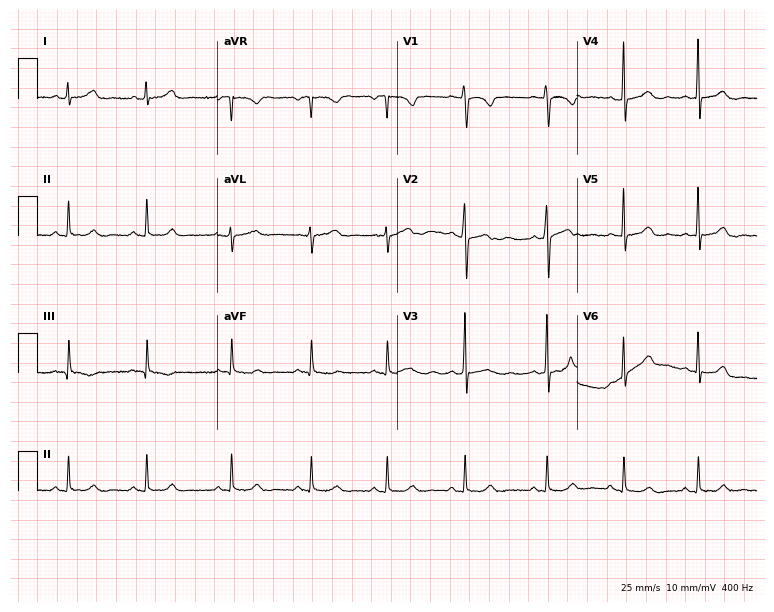
12-lead ECG from a 23-year-old female patient. Recorded interpretation: within normal limits.